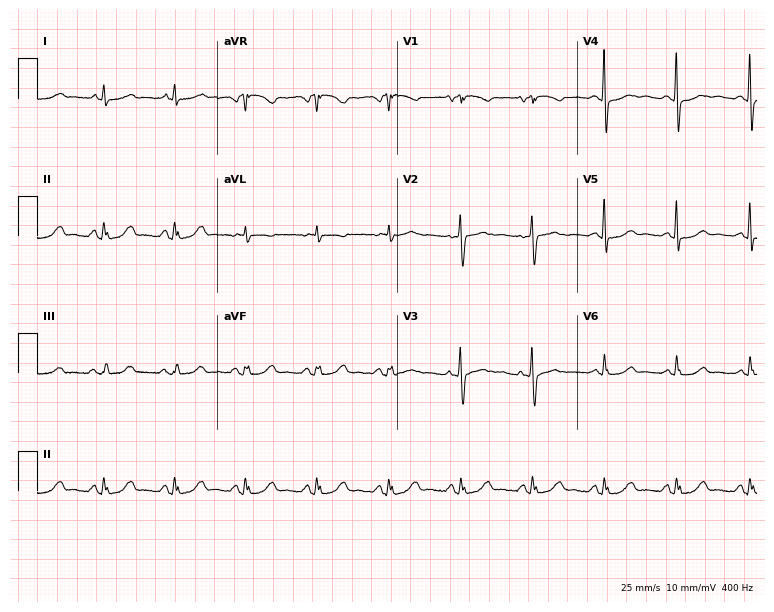
Standard 12-lead ECG recorded from a 60-year-old female (7.3-second recording at 400 Hz). Read as a normal ECG.